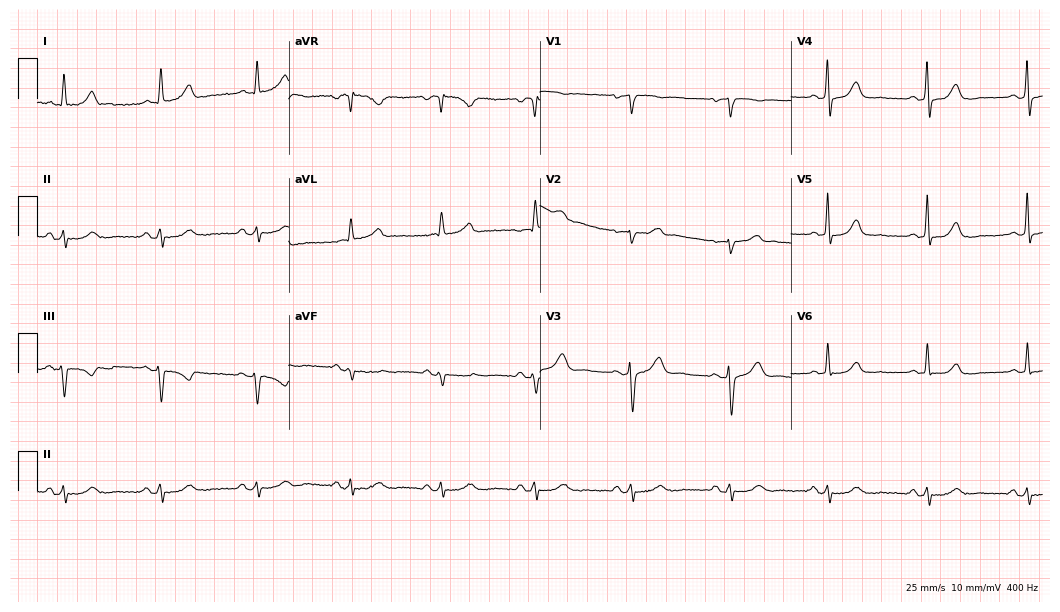
Standard 12-lead ECG recorded from a 66-year-old female patient. None of these six findings is recorded: first-degree AV block, right bundle branch block, left bundle branch block, sinus bradycardia, atrial fibrillation, sinus tachycardia. Only these six findings were labelled.